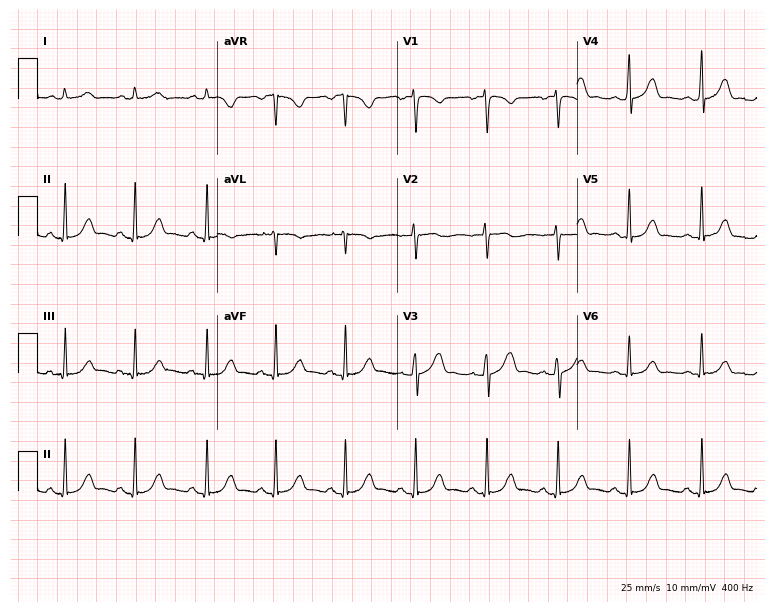
Standard 12-lead ECG recorded from a woman, 36 years old (7.3-second recording at 400 Hz). None of these six findings is recorded: first-degree AV block, right bundle branch block (RBBB), left bundle branch block (LBBB), sinus bradycardia, atrial fibrillation (AF), sinus tachycardia.